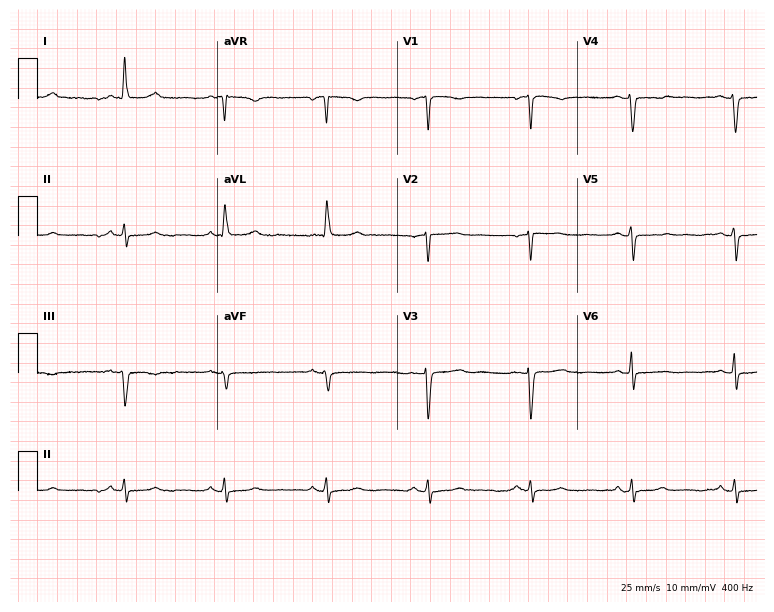
Electrocardiogram (7.3-second recording at 400 Hz), a 64-year-old woman. Of the six screened findings (first-degree AV block, right bundle branch block, left bundle branch block, sinus bradycardia, atrial fibrillation, sinus tachycardia), none is recorded. Other findings, if any, are not listed.